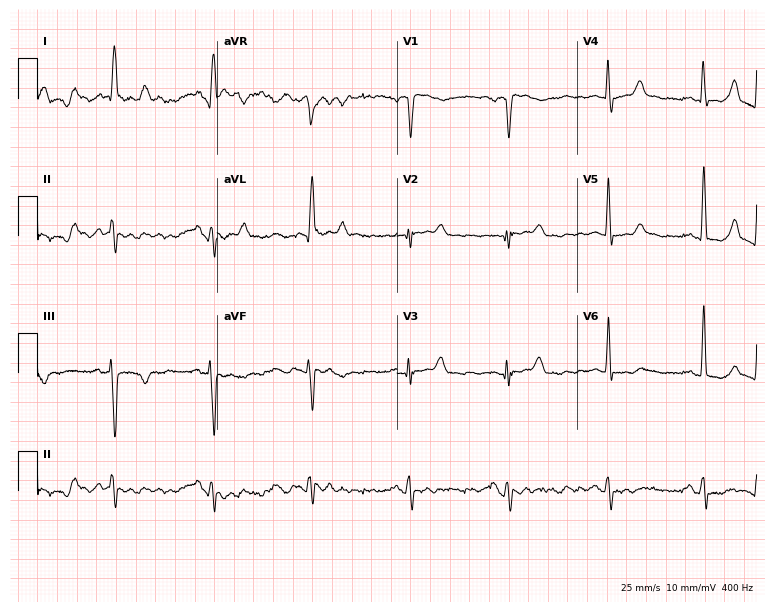
Resting 12-lead electrocardiogram. Patient: a female, 74 years old. None of these six findings is recorded: first-degree AV block, right bundle branch block, left bundle branch block, sinus bradycardia, atrial fibrillation, sinus tachycardia.